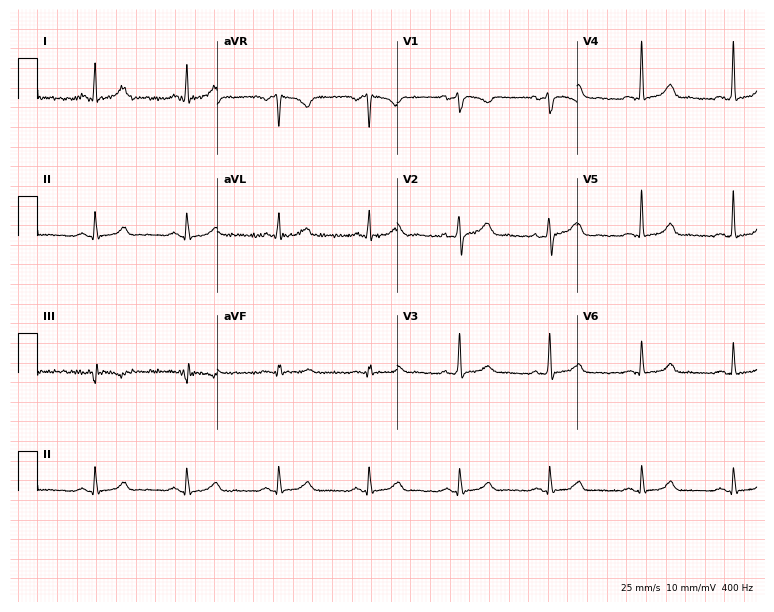
ECG — a female, 51 years old. Screened for six findings — first-degree AV block, right bundle branch block, left bundle branch block, sinus bradycardia, atrial fibrillation, sinus tachycardia — none is recorded. Only these six findings were labelled.